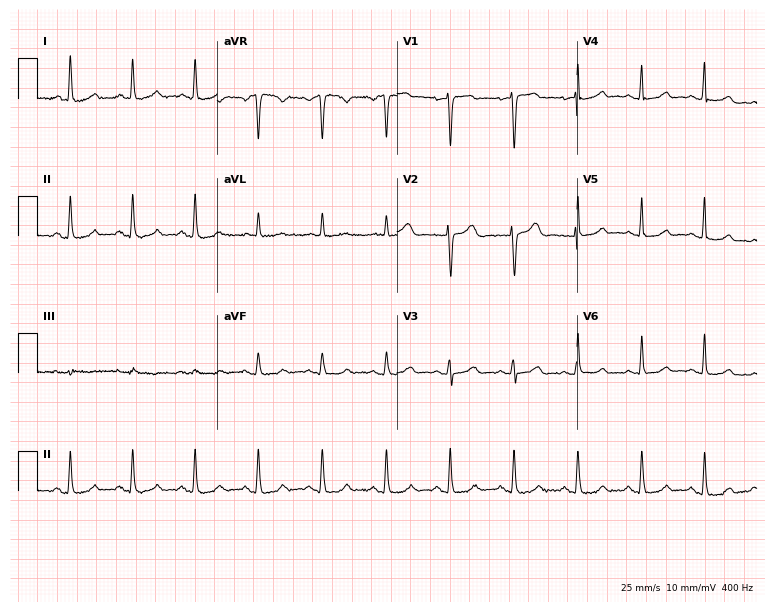
12-lead ECG from a male patient, 42 years old. Recorded interpretation: within normal limits.